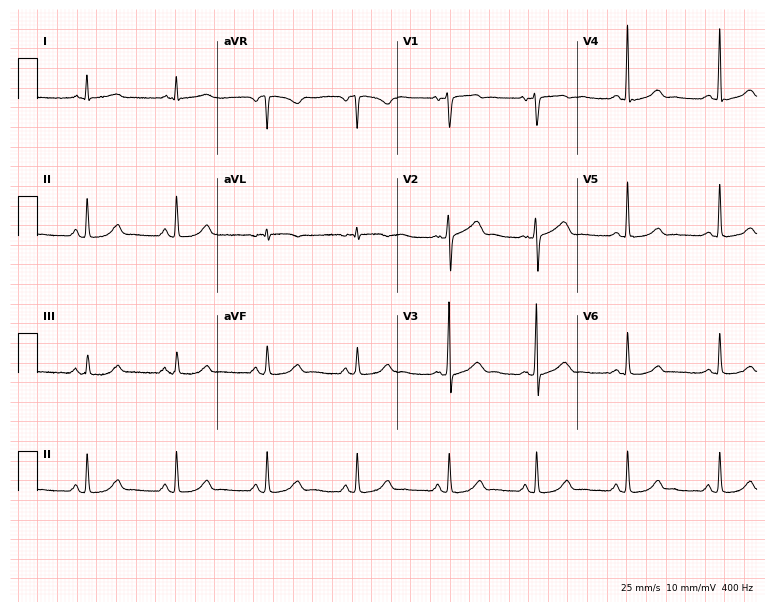
12-lead ECG from a 52-year-old woman. Recorded interpretation: within normal limits.